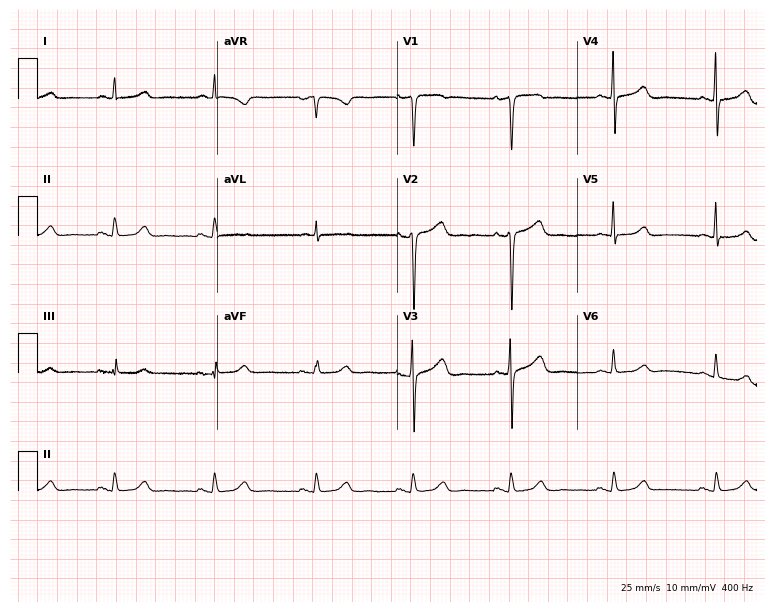
Resting 12-lead electrocardiogram. Patient: a 46-year-old woman. Read as a normal ECG.